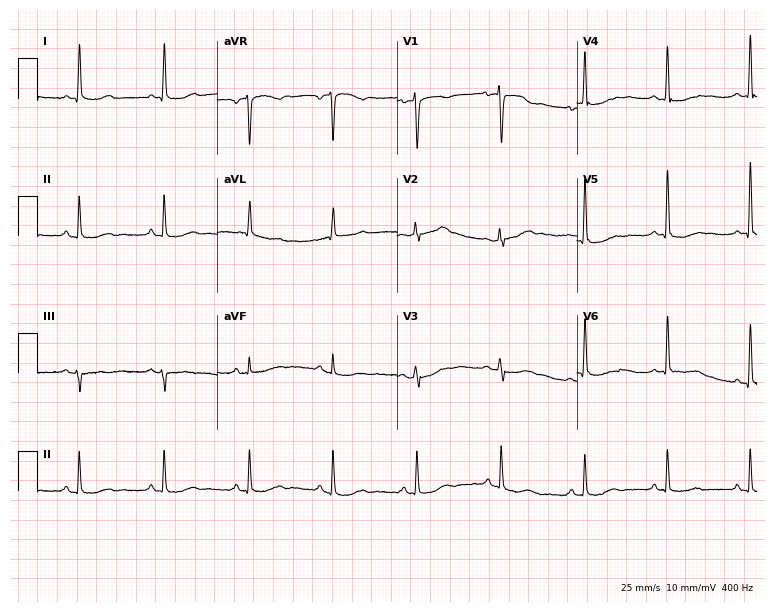
12-lead ECG from a 58-year-old woman. Screened for six findings — first-degree AV block, right bundle branch block, left bundle branch block, sinus bradycardia, atrial fibrillation, sinus tachycardia — none is recorded. Findings outside these six are not listed.